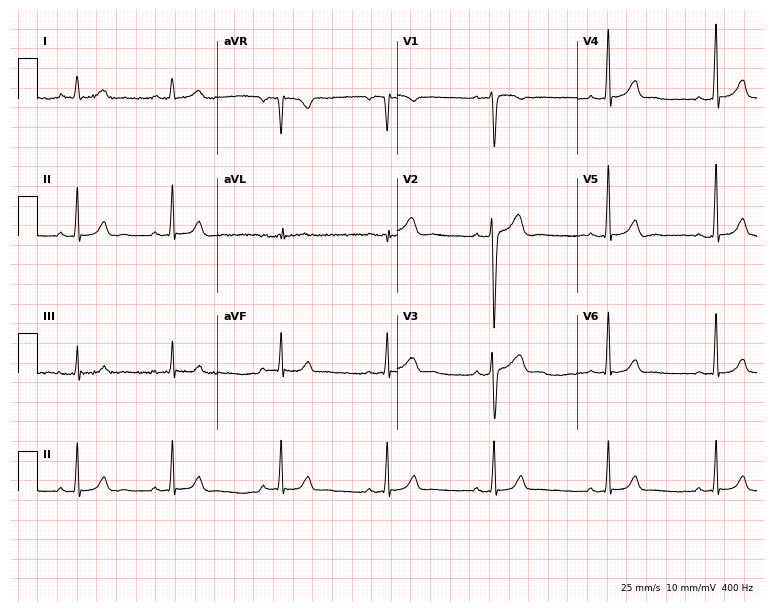
Electrocardiogram (7.3-second recording at 400 Hz), a female patient, 31 years old. Overall reading on record: normal ECG.